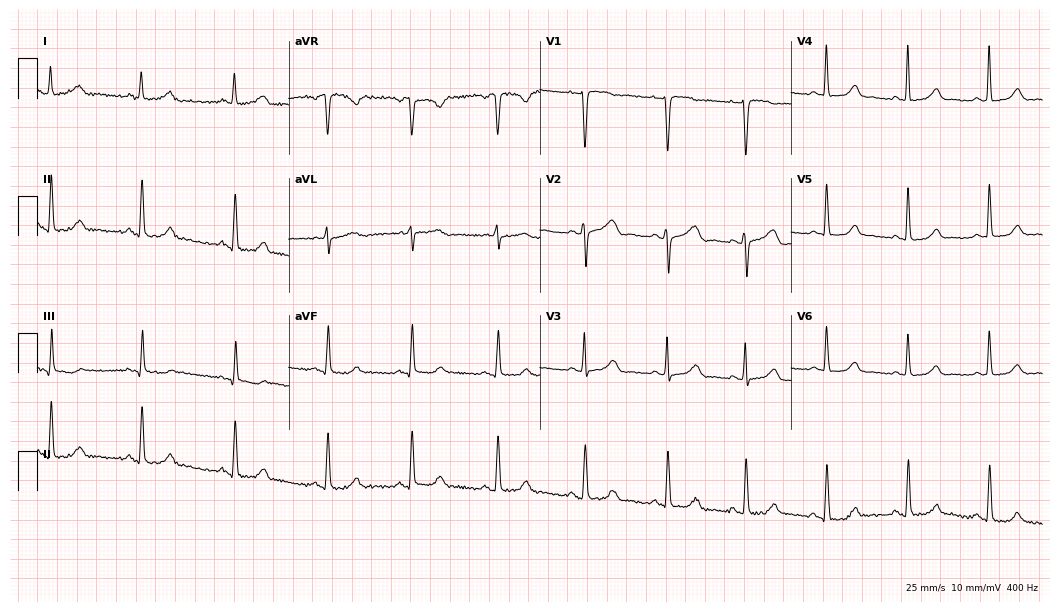
12-lead ECG from a 42-year-old female (10.2-second recording at 400 Hz). Recorded interpretation: within normal limits.